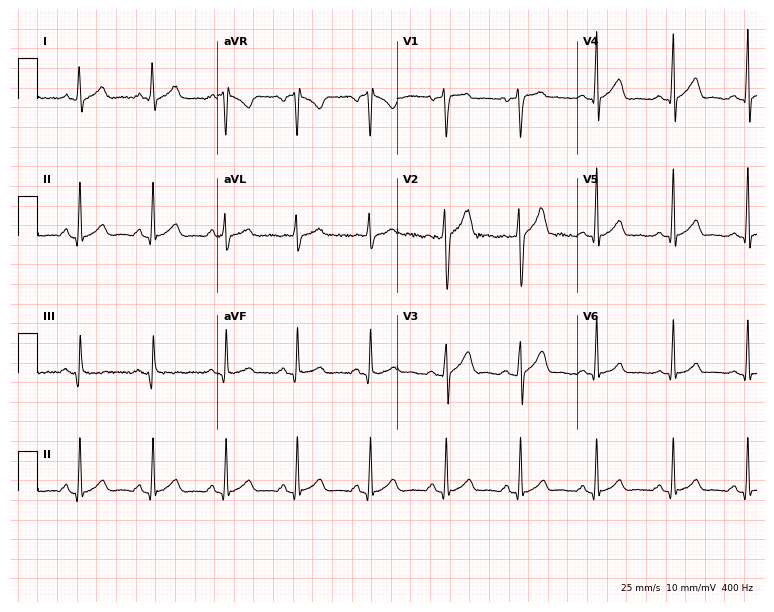
12-lead ECG from a 19-year-old man. Labelled as a normal ECG.